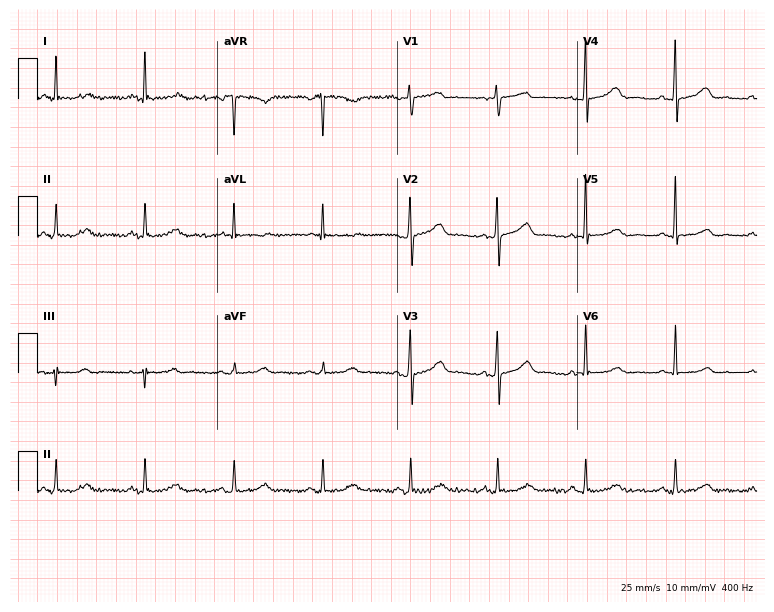
ECG (7.3-second recording at 400 Hz) — a female, 79 years old. Labelled as a normal ECG.